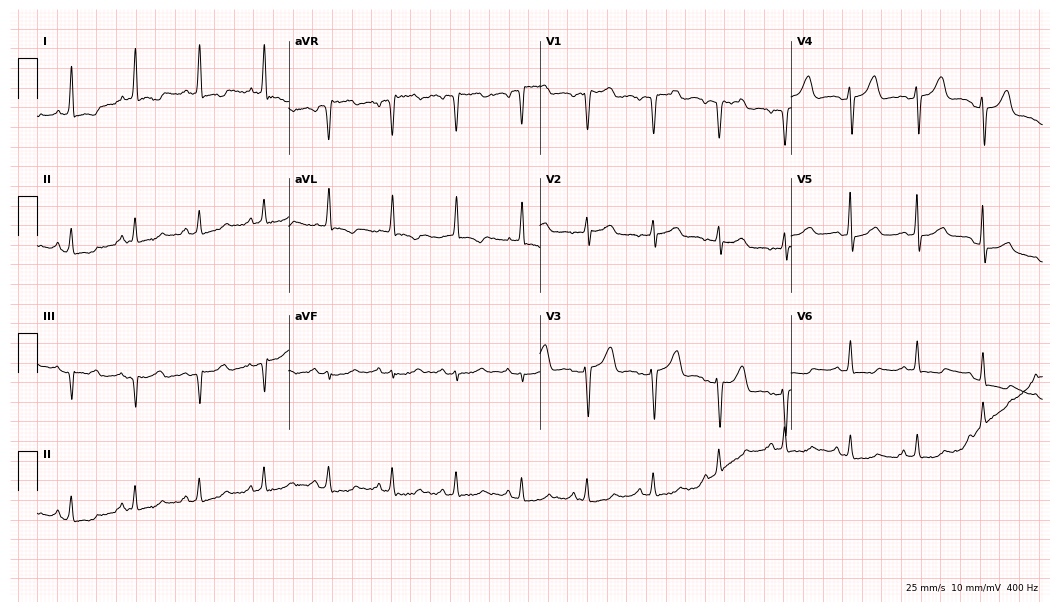
Resting 12-lead electrocardiogram (10.2-second recording at 400 Hz). Patient: a 73-year-old female. None of these six findings is recorded: first-degree AV block, right bundle branch block, left bundle branch block, sinus bradycardia, atrial fibrillation, sinus tachycardia. Other findings, if any, are not listed.